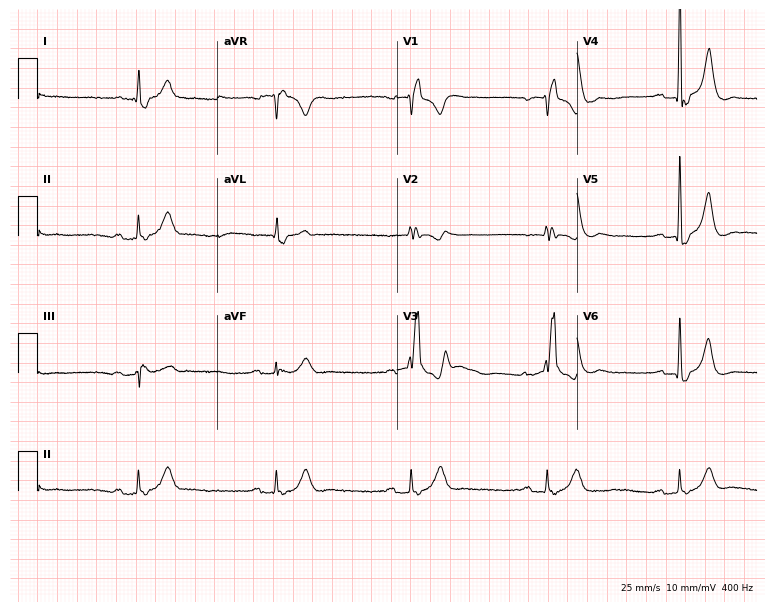
12-lead ECG from a male, 83 years old. Findings include first-degree AV block, right bundle branch block, sinus bradycardia (a sinus rate of 50 beats per minute or less).